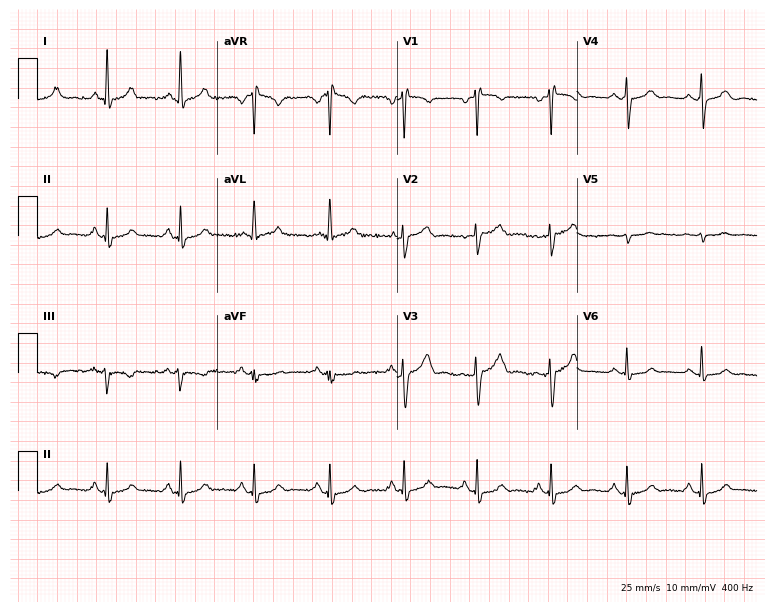
Standard 12-lead ECG recorded from a 68-year-old woman. None of these six findings is recorded: first-degree AV block, right bundle branch block, left bundle branch block, sinus bradycardia, atrial fibrillation, sinus tachycardia.